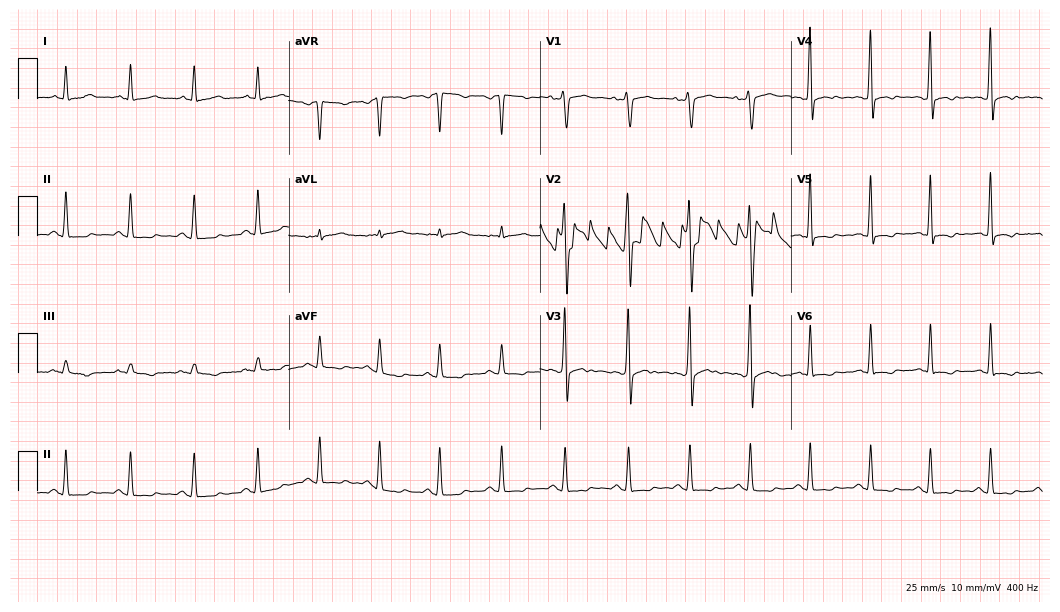
ECG — a 35-year-old male patient. Screened for six findings — first-degree AV block, right bundle branch block (RBBB), left bundle branch block (LBBB), sinus bradycardia, atrial fibrillation (AF), sinus tachycardia — none is recorded.